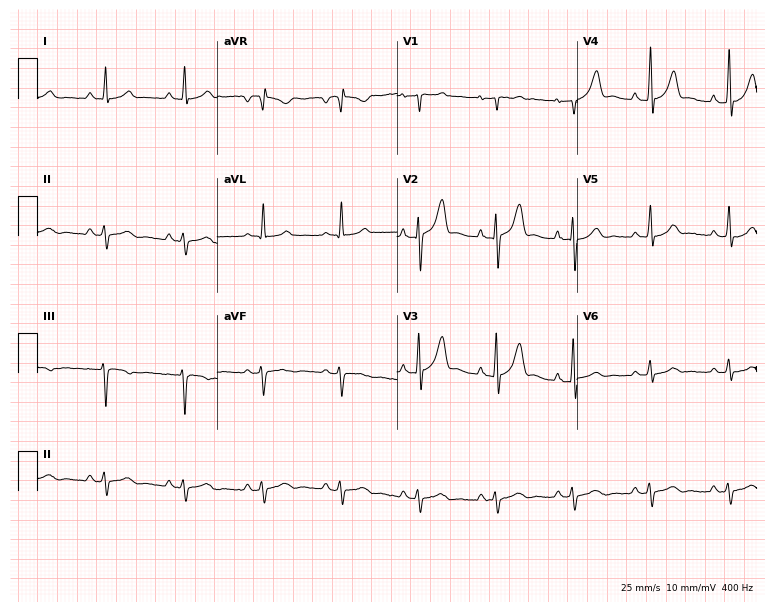
ECG (7.3-second recording at 400 Hz) — a man, 55 years old. Screened for six findings — first-degree AV block, right bundle branch block, left bundle branch block, sinus bradycardia, atrial fibrillation, sinus tachycardia — none is recorded. Only these six findings were labelled.